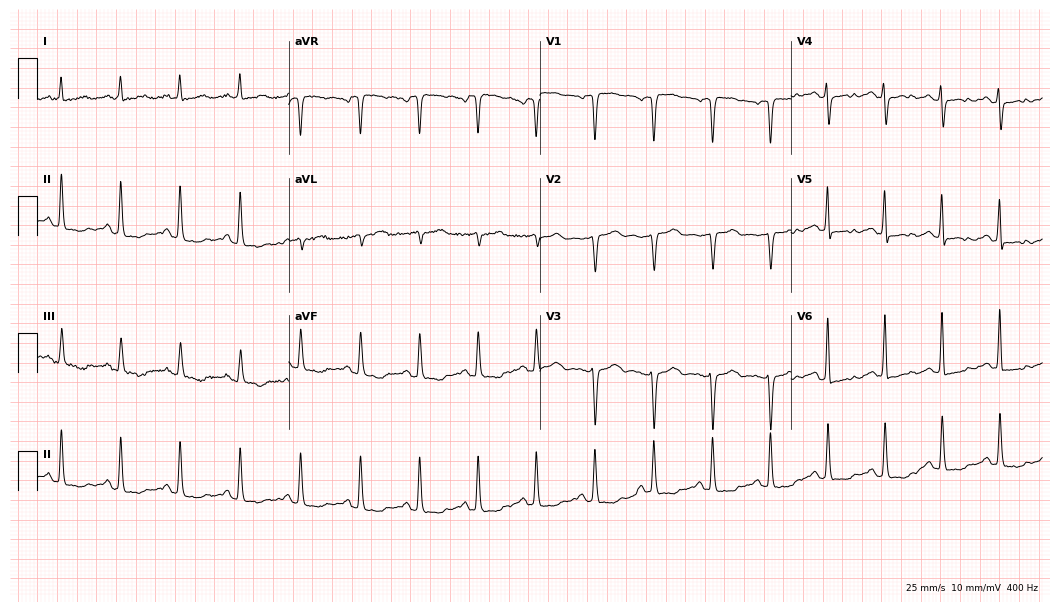
Resting 12-lead electrocardiogram (10.2-second recording at 400 Hz). Patient: a 52-year-old woman. The tracing shows sinus tachycardia (a sinus rate of 100 beats per minute or more).